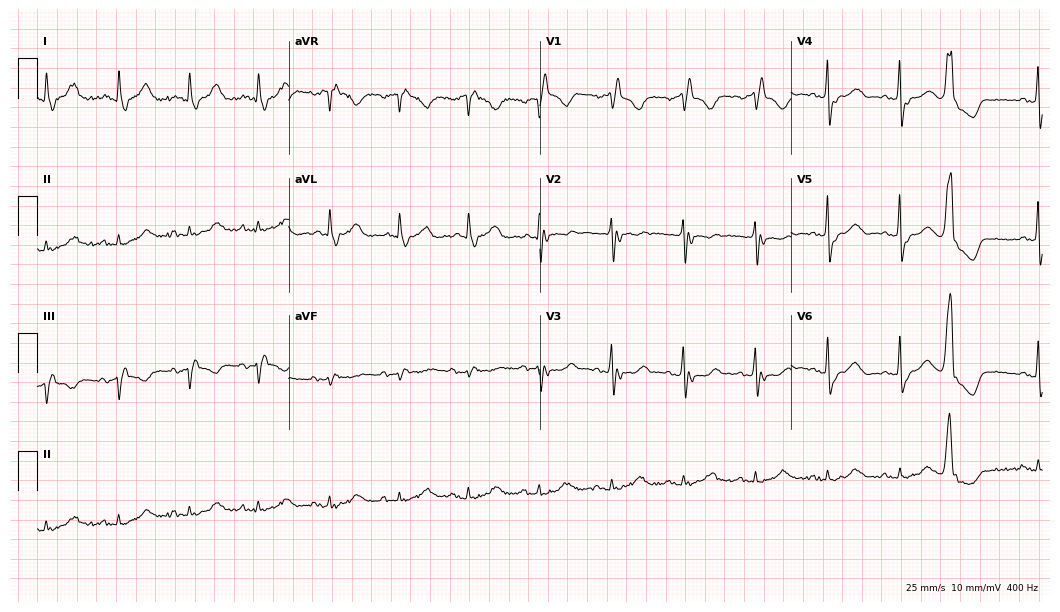
12-lead ECG from a woman, 78 years old. Shows right bundle branch block (RBBB).